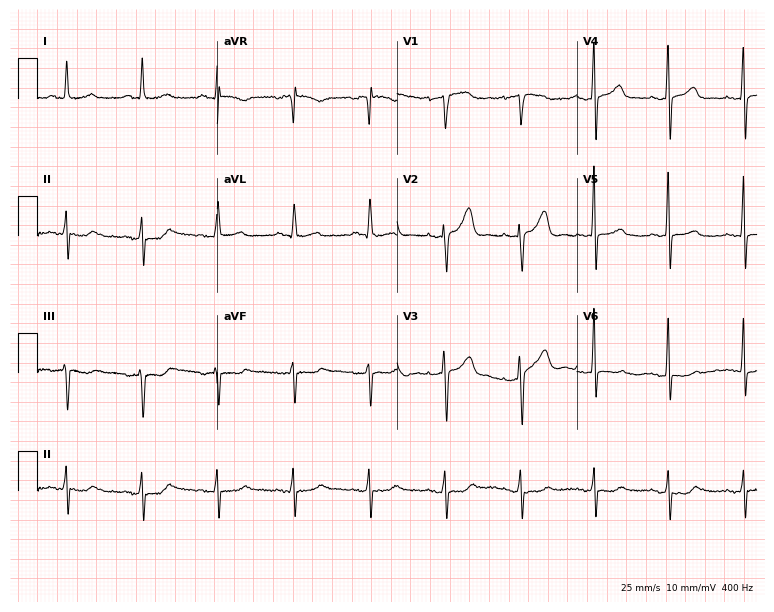
Electrocardiogram, a male, 54 years old. Of the six screened findings (first-degree AV block, right bundle branch block (RBBB), left bundle branch block (LBBB), sinus bradycardia, atrial fibrillation (AF), sinus tachycardia), none is recorded. Other findings, if any, are not listed.